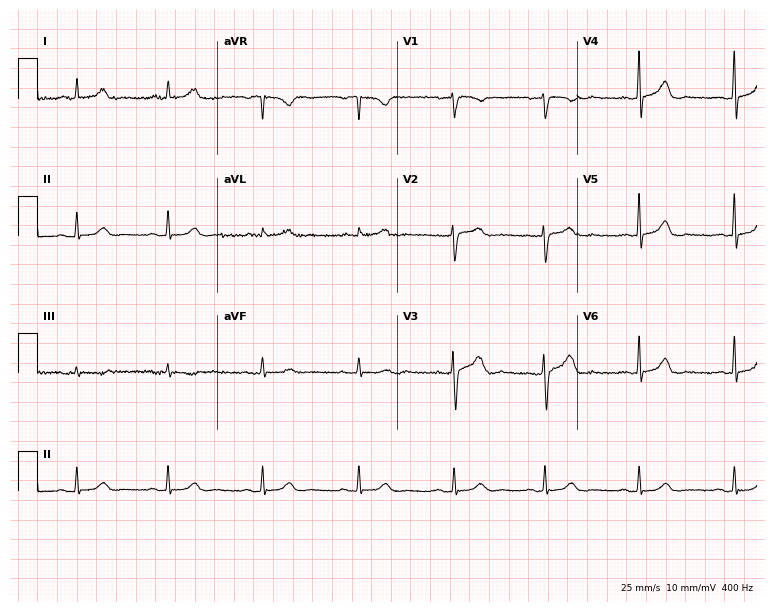
ECG — a woman, 40 years old. Labelled as a normal ECG.